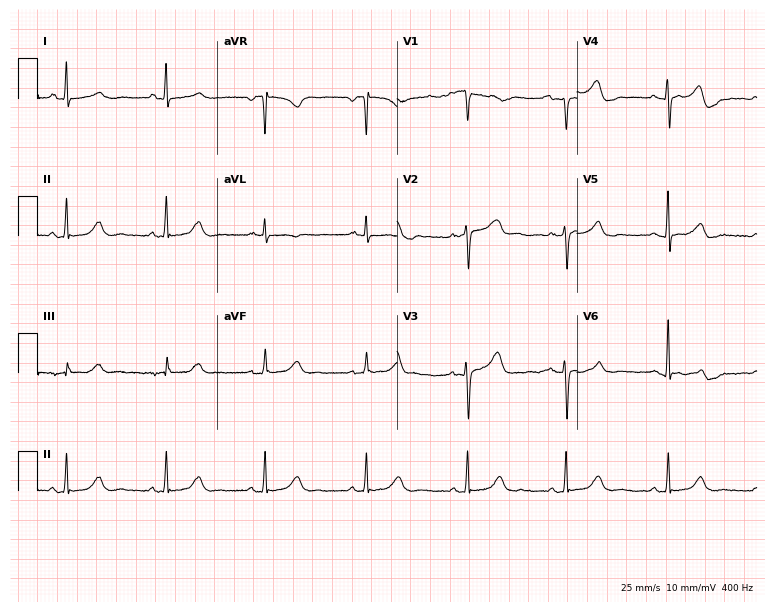
12-lead ECG from a 60-year-old female patient (7.3-second recording at 400 Hz). Recorded interpretation: within normal limits.